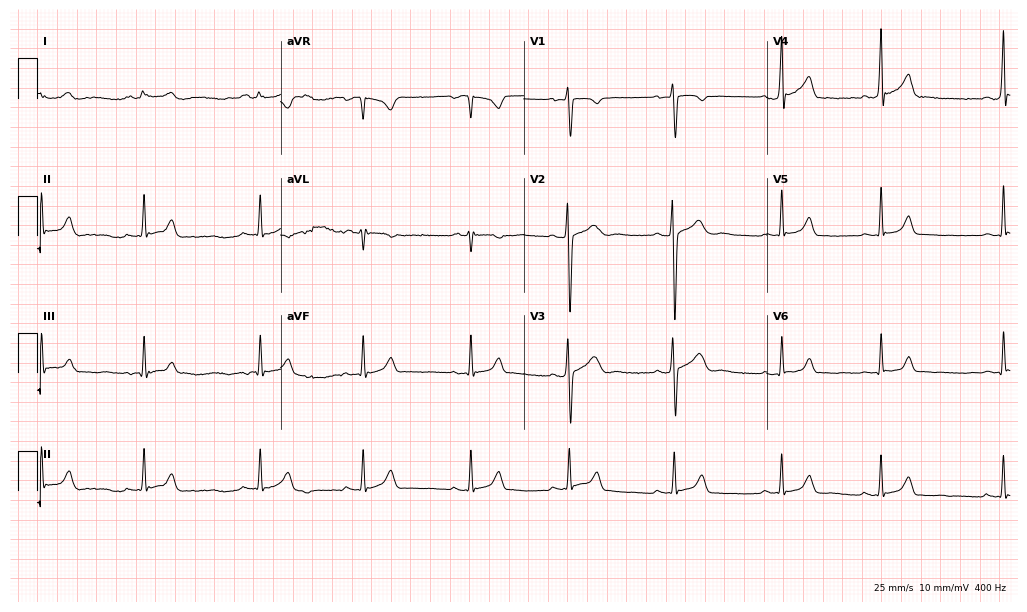
Standard 12-lead ECG recorded from a male patient, 19 years old. Read as a normal ECG.